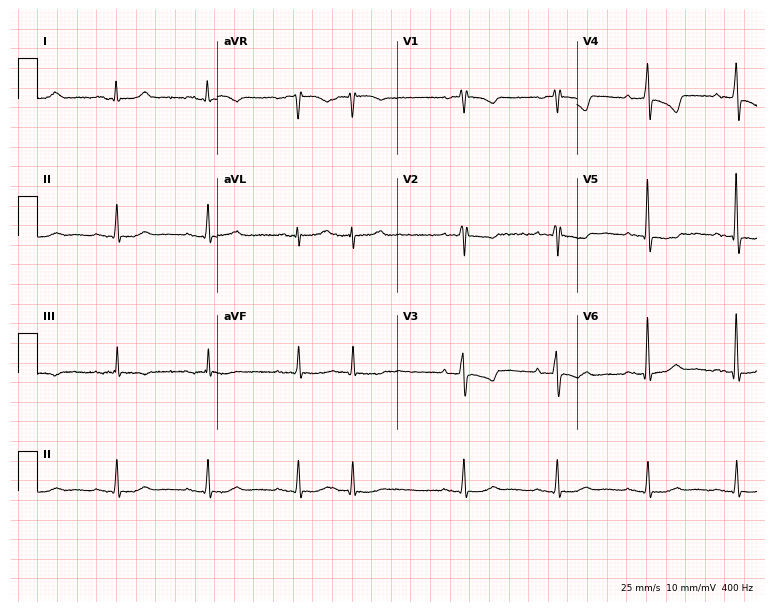
Standard 12-lead ECG recorded from a 76-year-old female. None of these six findings is recorded: first-degree AV block, right bundle branch block (RBBB), left bundle branch block (LBBB), sinus bradycardia, atrial fibrillation (AF), sinus tachycardia. Findings outside these six are not listed.